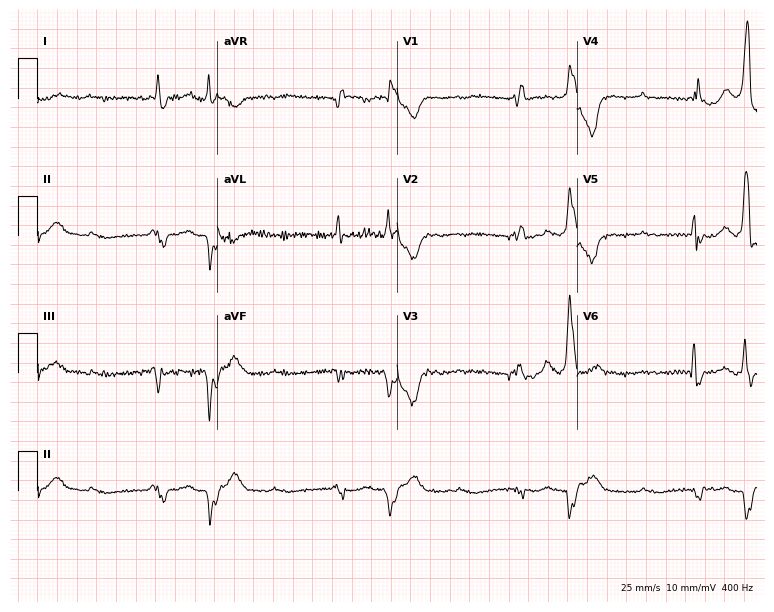
12-lead ECG from a 69-year-old female. No first-degree AV block, right bundle branch block, left bundle branch block, sinus bradycardia, atrial fibrillation or sinus tachycardia recorded for this tracing. Other findings, if any, are not listed.